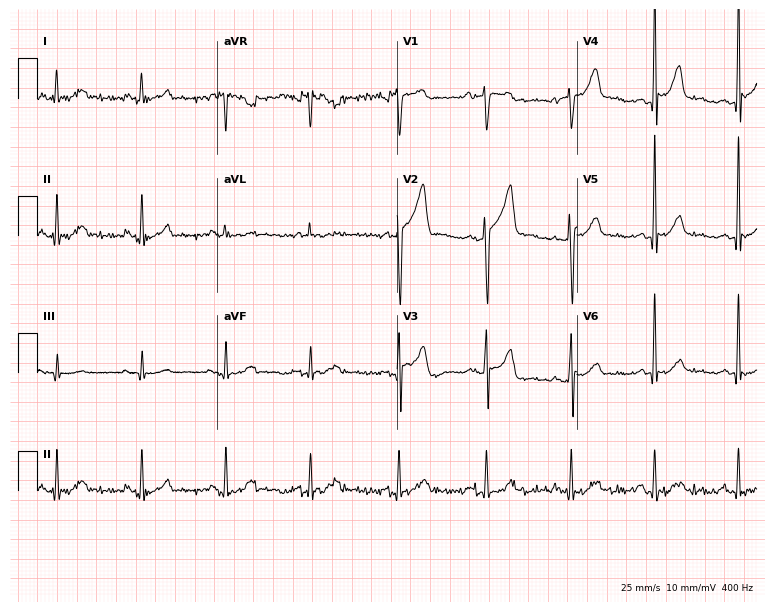
12-lead ECG from a 43-year-old male patient. Screened for six findings — first-degree AV block, right bundle branch block, left bundle branch block, sinus bradycardia, atrial fibrillation, sinus tachycardia — none is recorded. Only these six findings were labelled.